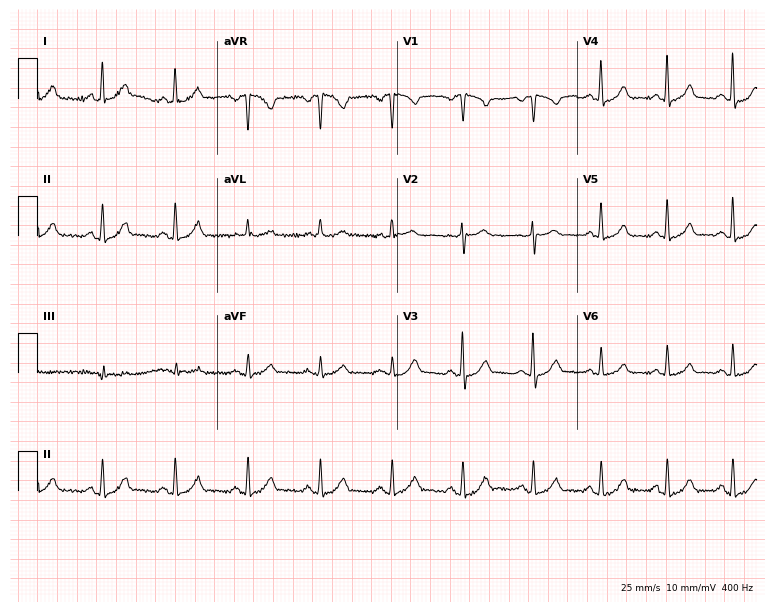
Resting 12-lead electrocardiogram (7.3-second recording at 400 Hz). Patient: a 61-year-old woman. Read as a normal ECG.